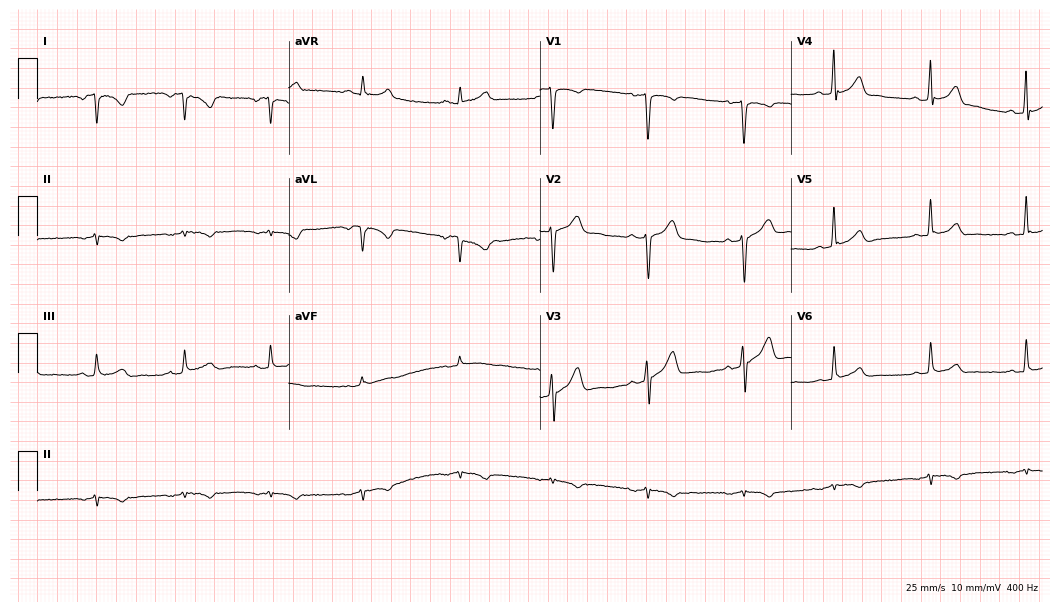
12-lead ECG (10.2-second recording at 400 Hz) from a 33-year-old male. Screened for six findings — first-degree AV block, right bundle branch block, left bundle branch block, sinus bradycardia, atrial fibrillation, sinus tachycardia — none is recorded.